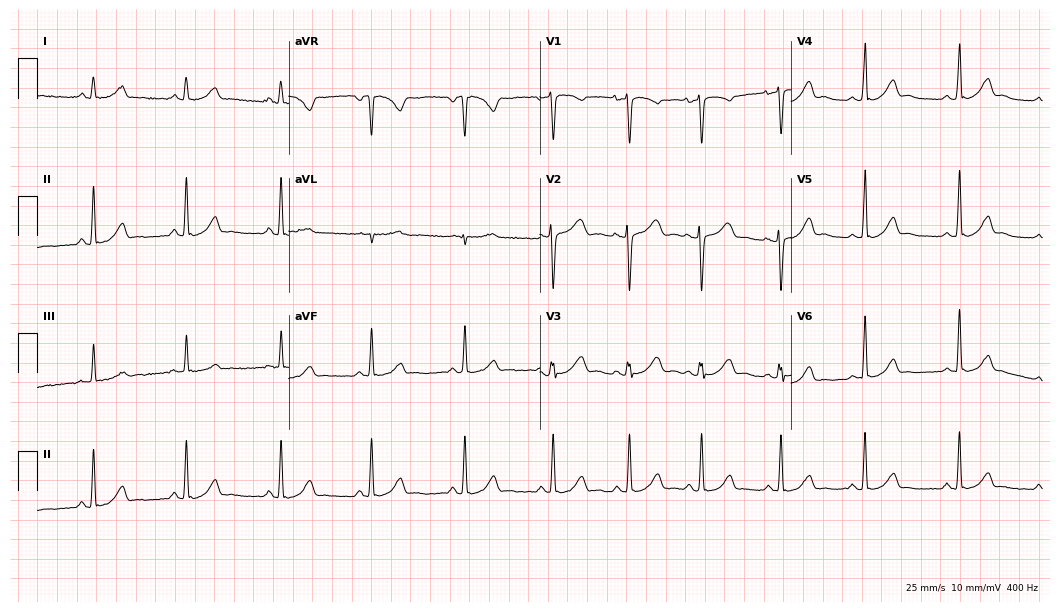
Standard 12-lead ECG recorded from a 31-year-old female. Read as a normal ECG.